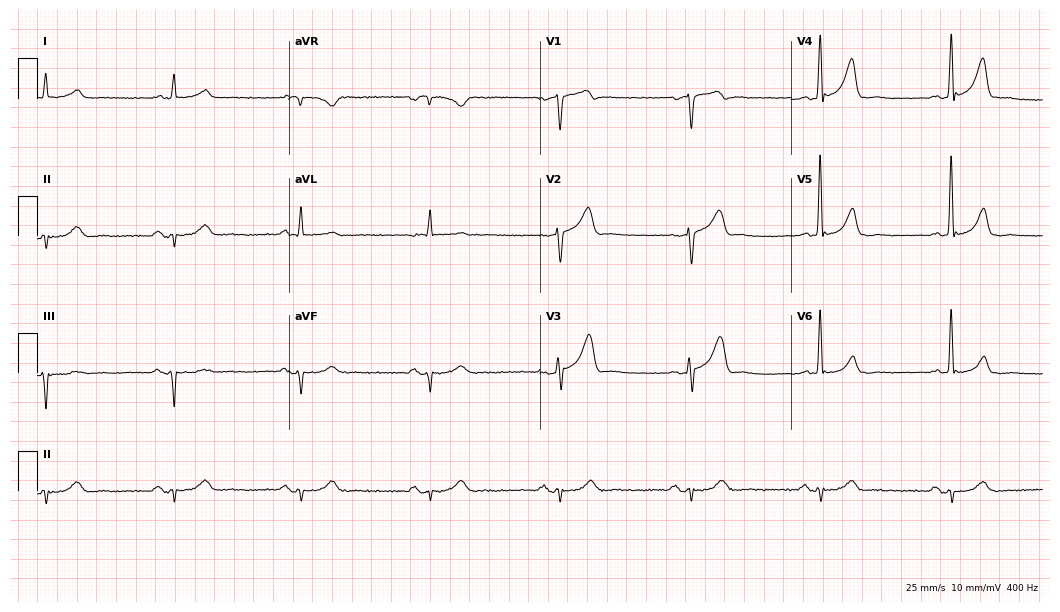
Standard 12-lead ECG recorded from a male, 80 years old. The tracing shows sinus bradycardia (a sinus rate of 50 beats per minute or less).